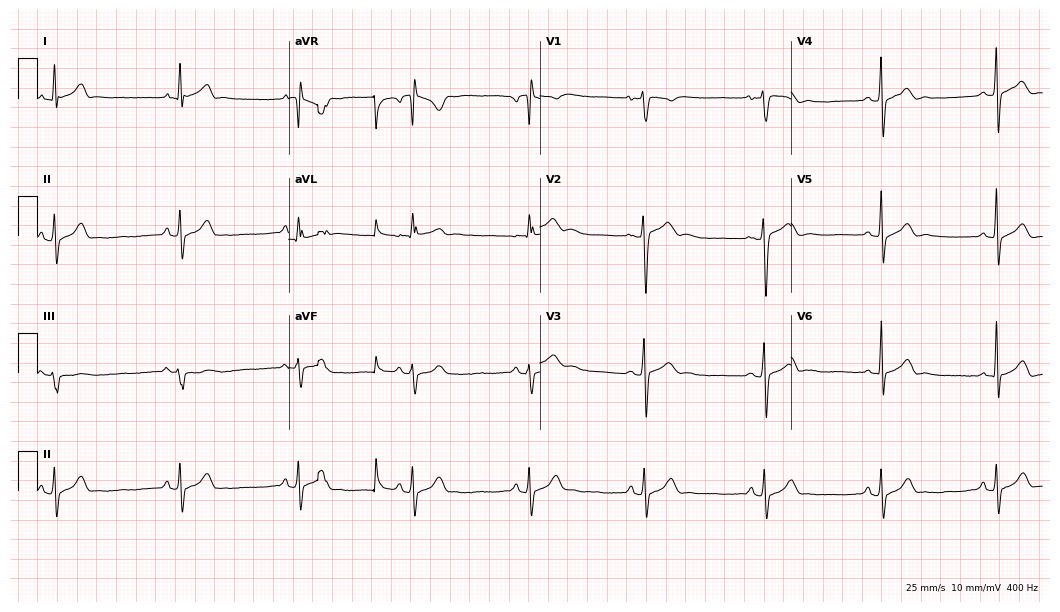
ECG (10.2-second recording at 400 Hz) — a male, 21 years old. Findings include sinus bradycardia (a sinus rate of 50 beats per minute or less).